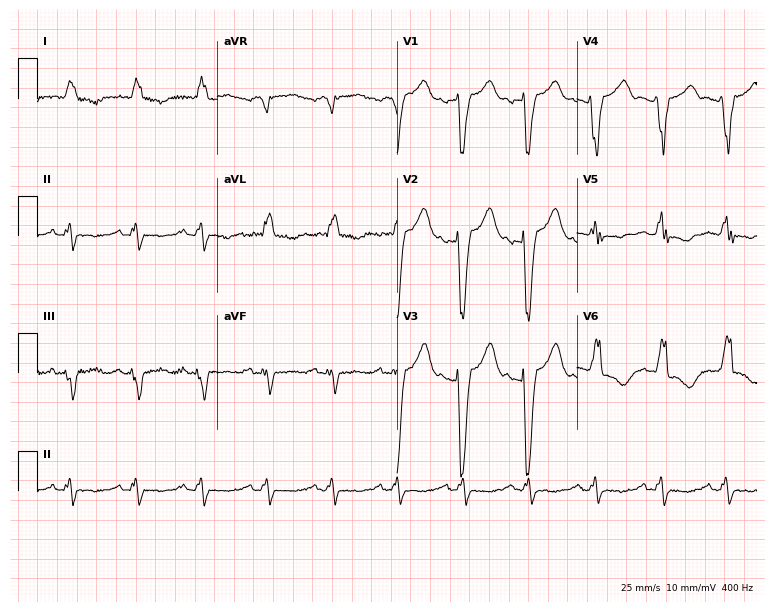
ECG (7.3-second recording at 400 Hz) — a 52-year-old female. Findings include left bundle branch block.